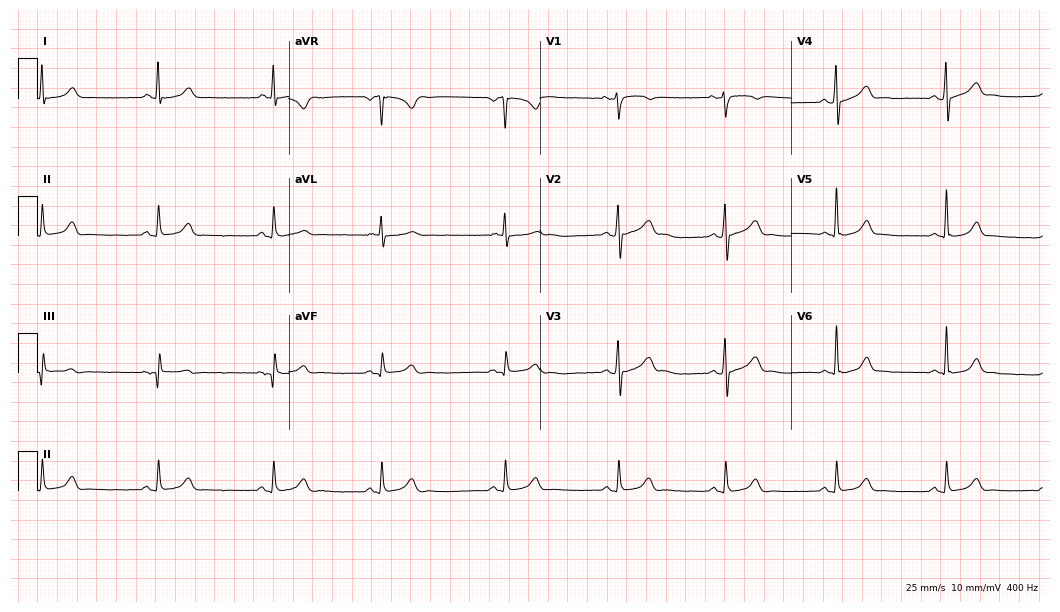
12-lead ECG from a 31-year-old male patient. Recorded interpretation: within normal limits.